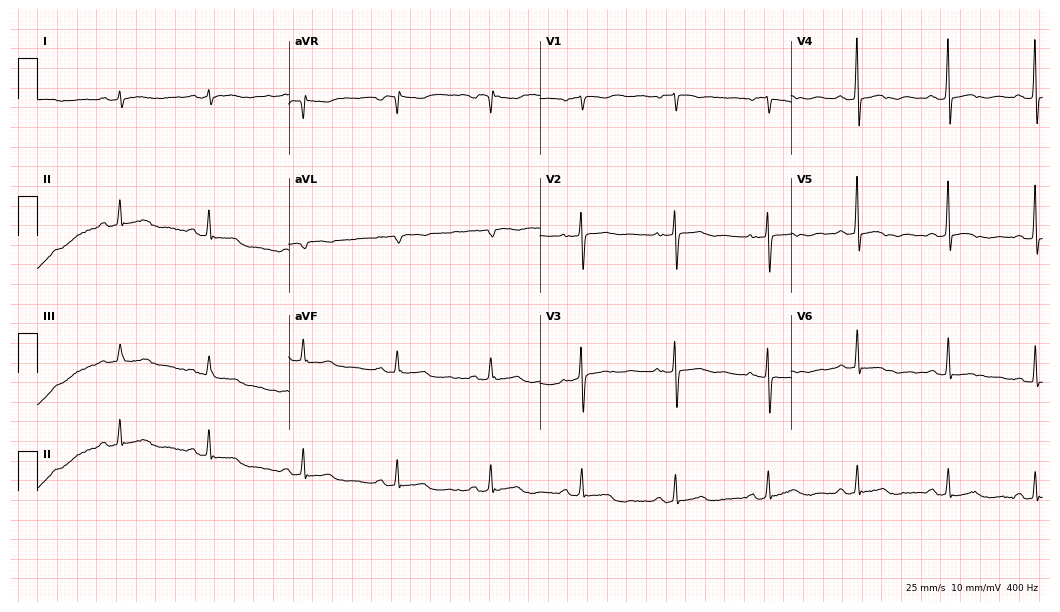
12-lead ECG from a woman, 71 years old. No first-degree AV block, right bundle branch block, left bundle branch block, sinus bradycardia, atrial fibrillation or sinus tachycardia recorded for this tracing.